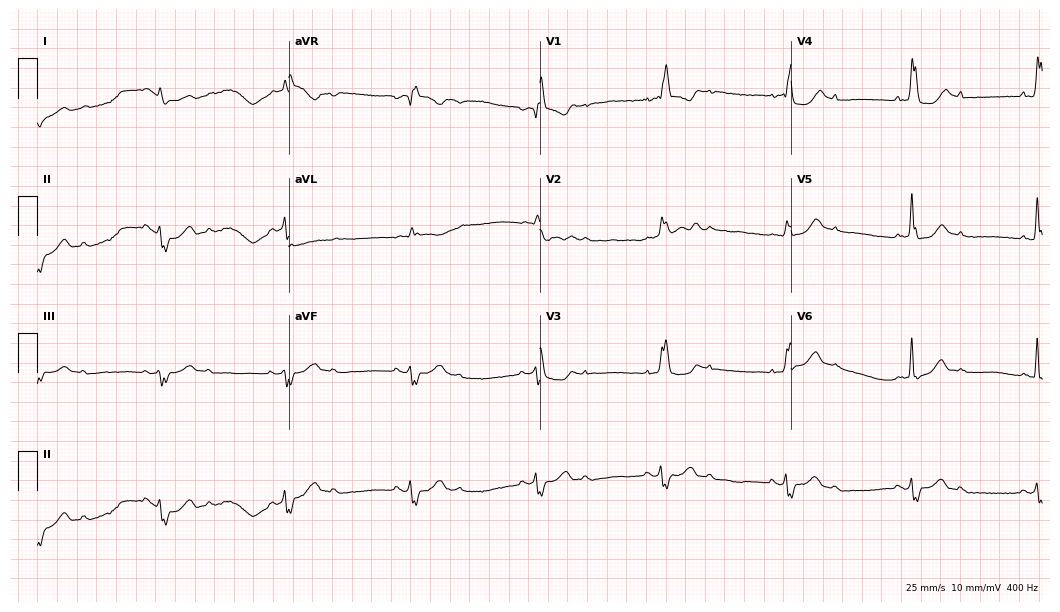
12-lead ECG (10.2-second recording at 400 Hz) from a man, 78 years old. Screened for six findings — first-degree AV block, right bundle branch block, left bundle branch block, sinus bradycardia, atrial fibrillation, sinus tachycardia — none is recorded. Findings outside these six are not listed.